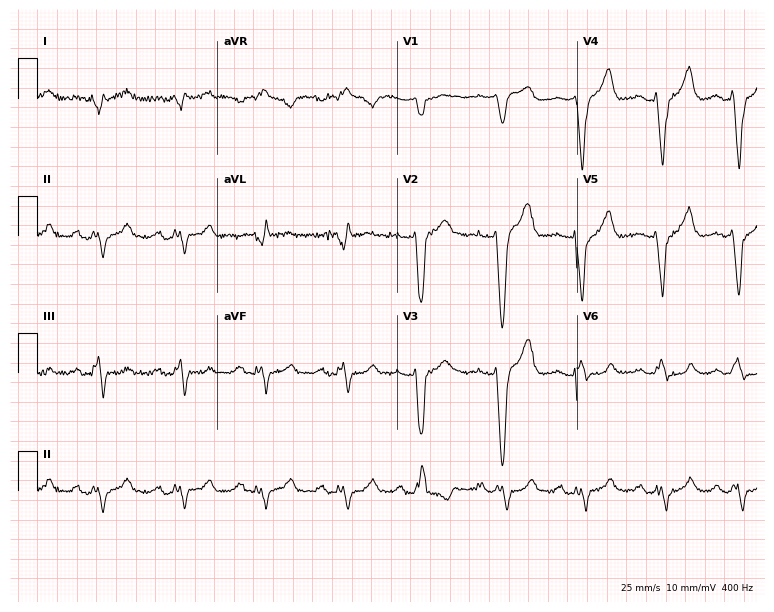
Standard 12-lead ECG recorded from a female, 81 years old. None of these six findings is recorded: first-degree AV block, right bundle branch block, left bundle branch block, sinus bradycardia, atrial fibrillation, sinus tachycardia. Only these six findings were labelled.